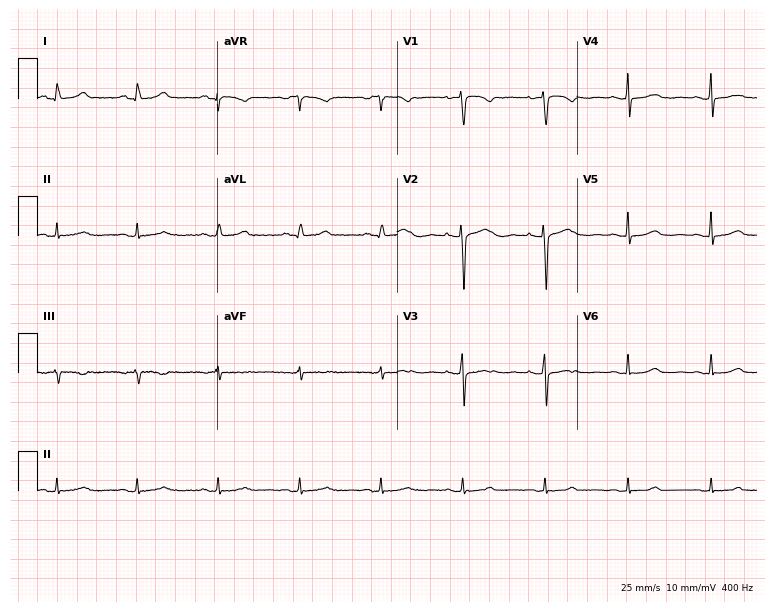
Electrocardiogram, a female patient, 56 years old. Overall reading on record: normal ECG.